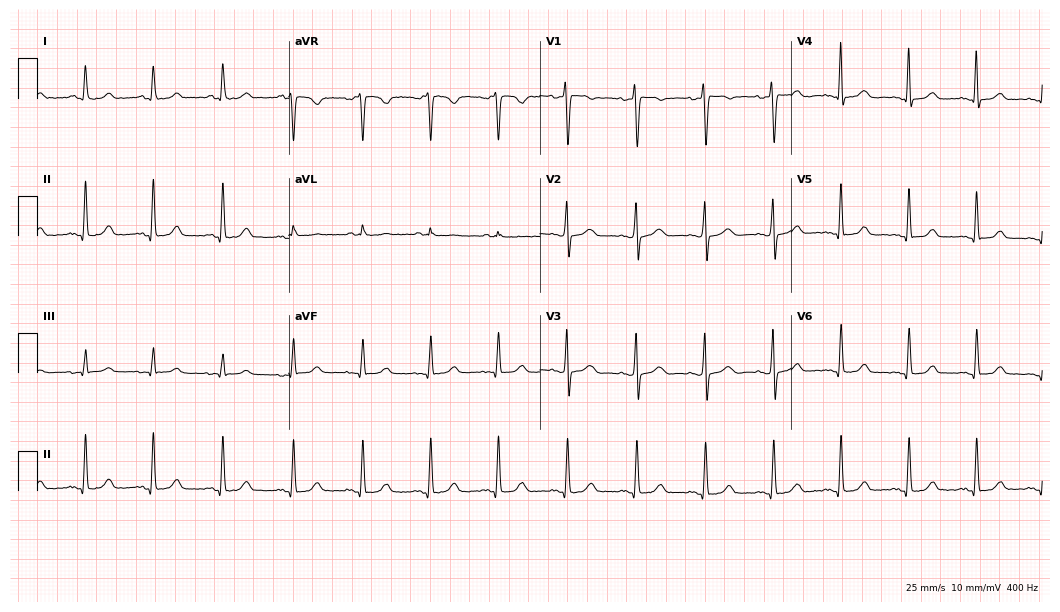
Standard 12-lead ECG recorded from a female patient, 45 years old. Read as a normal ECG.